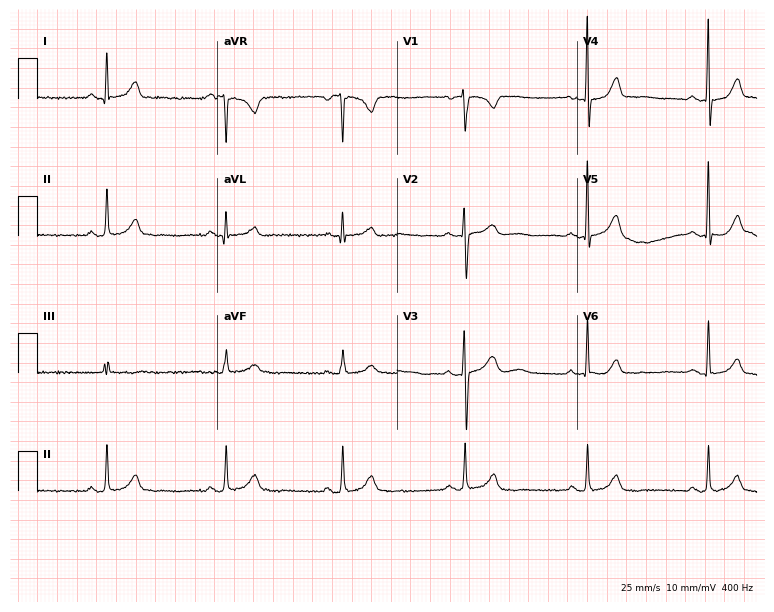
12-lead ECG from a woman, 24 years old (7.3-second recording at 400 Hz). Shows sinus bradycardia (a sinus rate of 50 beats per minute or less).